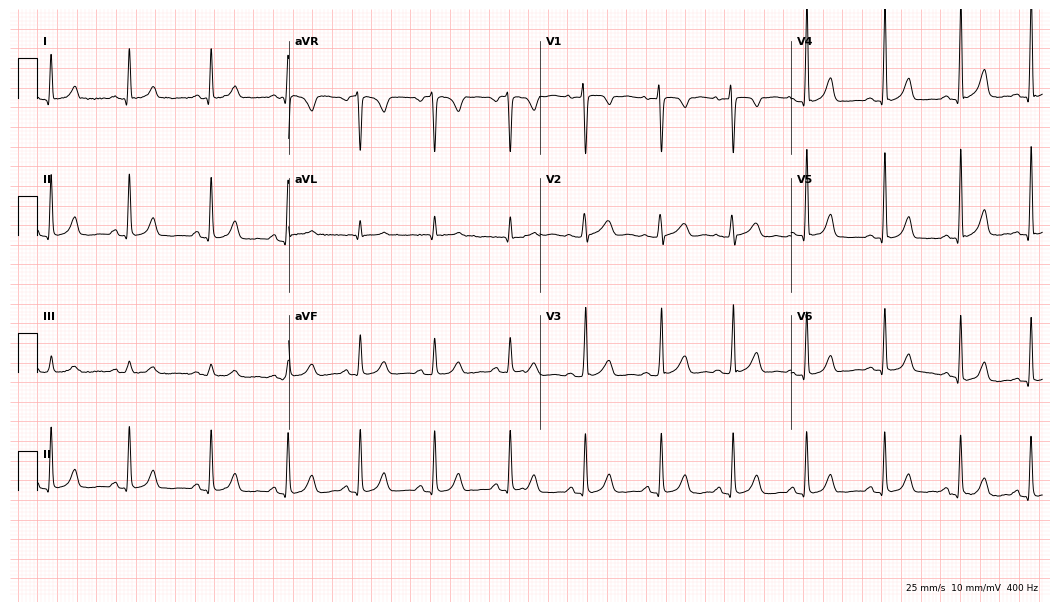
12-lead ECG (10.2-second recording at 400 Hz) from a female, 19 years old. Labelled as a normal ECG.